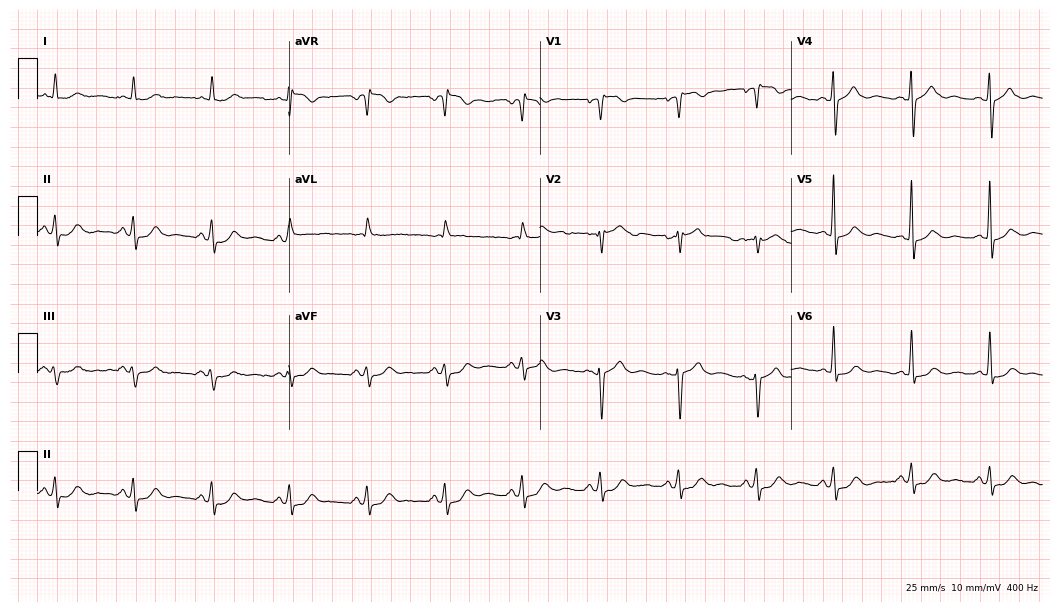
Resting 12-lead electrocardiogram (10.2-second recording at 400 Hz). Patient: a male, 78 years old. None of these six findings is recorded: first-degree AV block, right bundle branch block (RBBB), left bundle branch block (LBBB), sinus bradycardia, atrial fibrillation (AF), sinus tachycardia.